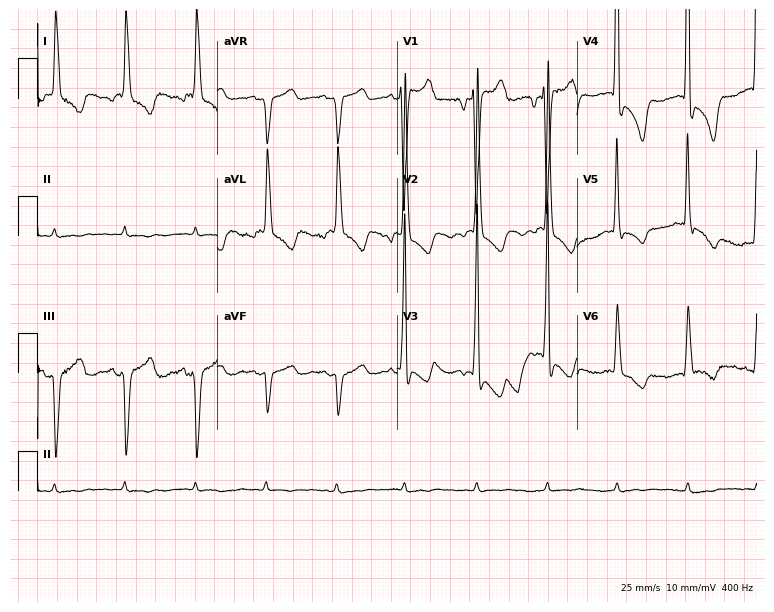
Electrocardiogram (7.3-second recording at 400 Hz), an 84-year-old female patient. Of the six screened findings (first-degree AV block, right bundle branch block (RBBB), left bundle branch block (LBBB), sinus bradycardia, atrial fibrillation (AF), sinus tachycardia), none is recorded. Other findings, if any, are not listed.